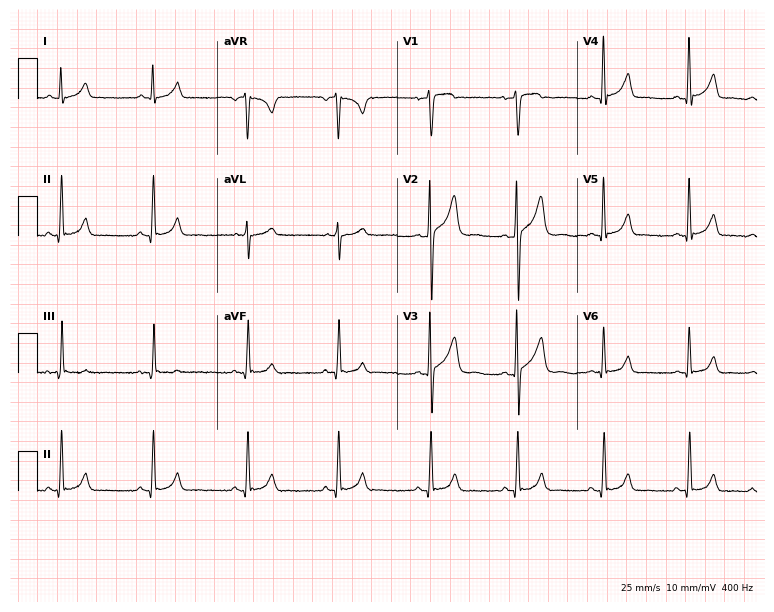
Electrocardiogram (7.3-second recording at 400 Hz), a 38-year-old male. Overall reading on record: normal ECG.